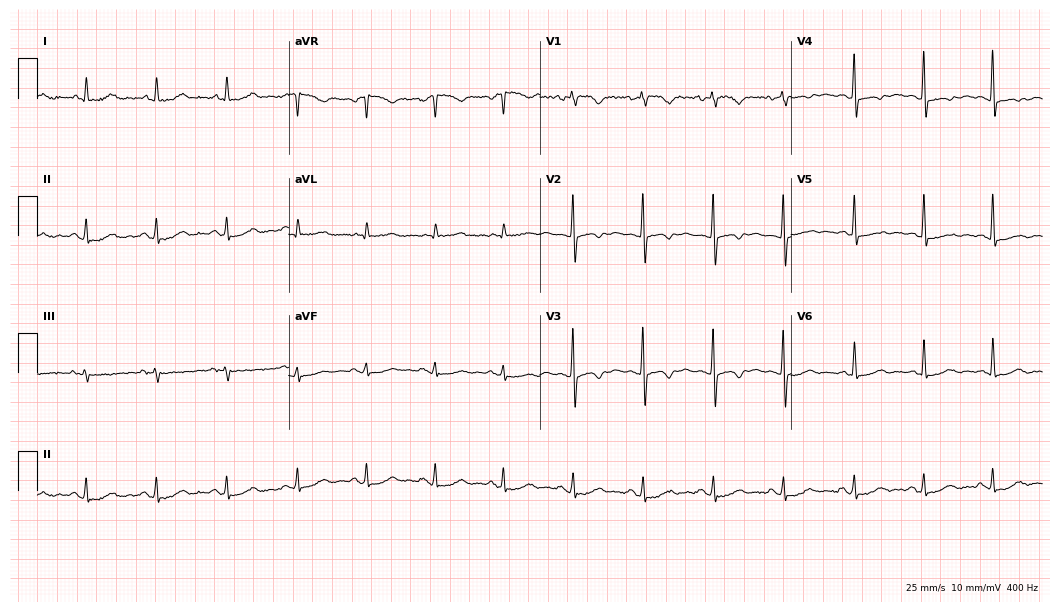
Electrocardiogram (10.2-second recording at 400 Hz), a female, 73 years old. Overall reading on record: normal ECG.